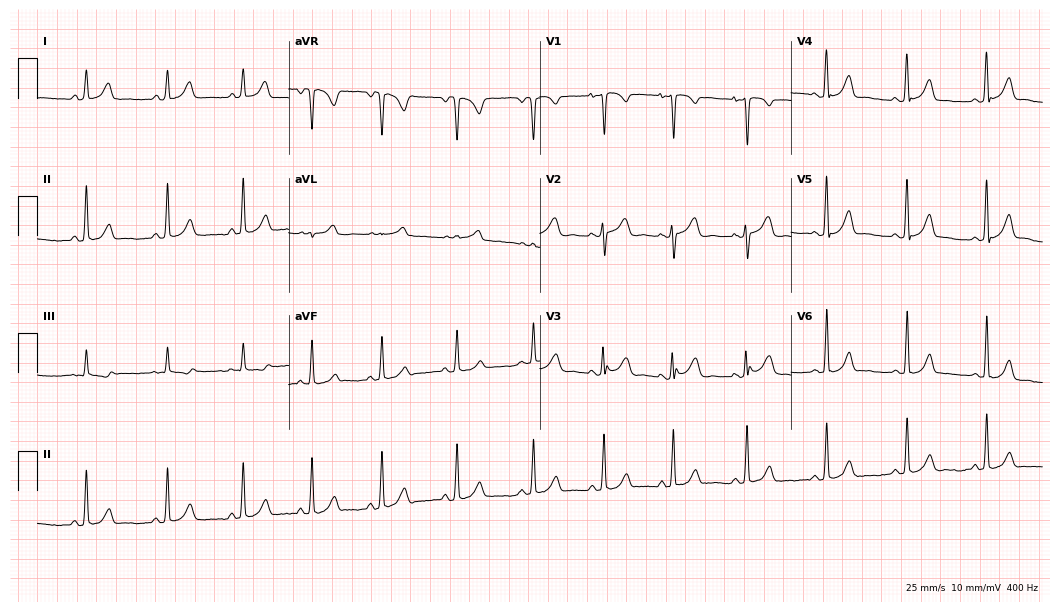
Electrocardiogram (10.2-second recording at 400 Hz), a 20-year-old woman. Overall reading on record: normal ECG.